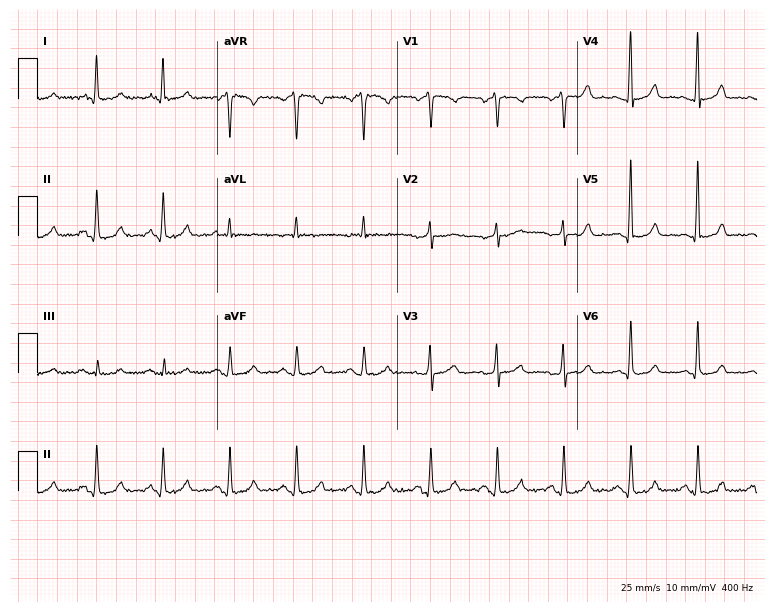
Standard 12-lead ECG recorded from a 48-year-old female. Read as a normal ECG.